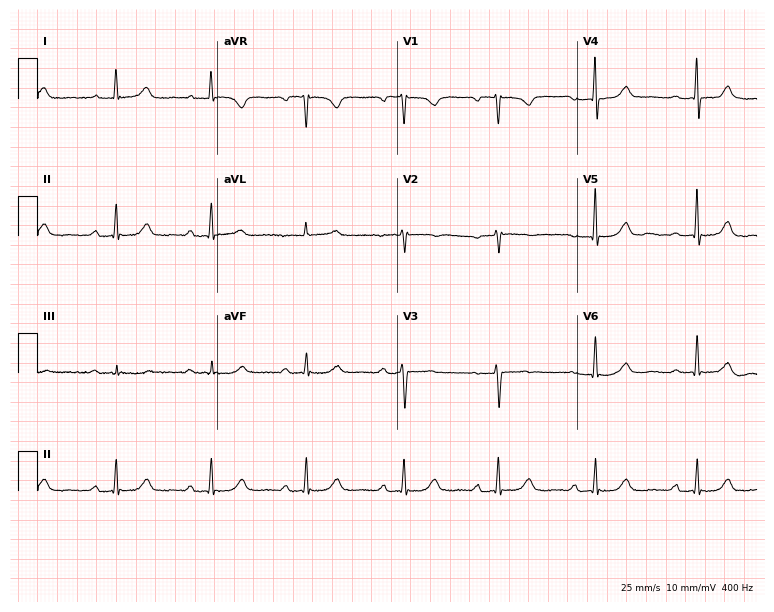
Standard 12-lead ECG recorded from a female patient, 77 years old (7.3-second recording at 400 Hz). The tracing shows first-degree AV block.